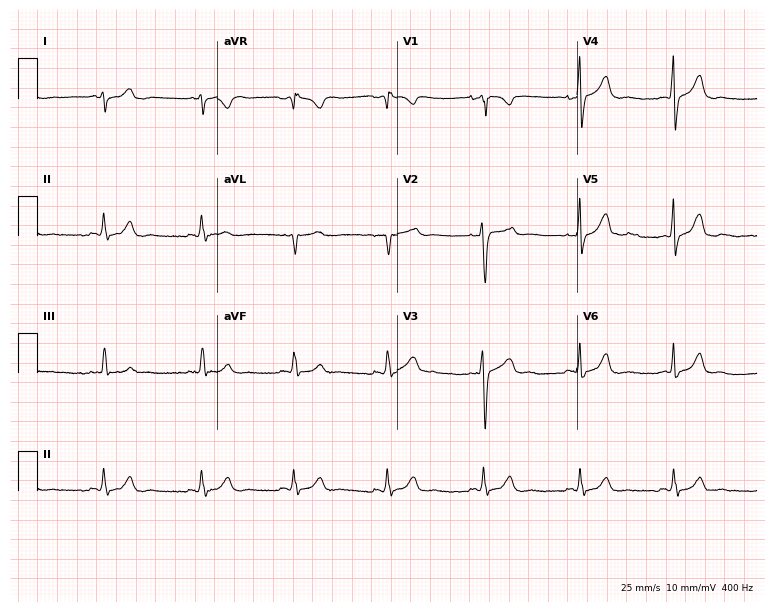
Standard 12-lead ECG recorded from a woman, 28 years old (7.3-second recording at 400 Hz). None of these six findings is recorded: first-degree AV block, right bundle branch block, left bundle branch block, sinus bradycardia, atrial fibrillation, sinus tachycardia. Other findings, if any, are not listed.